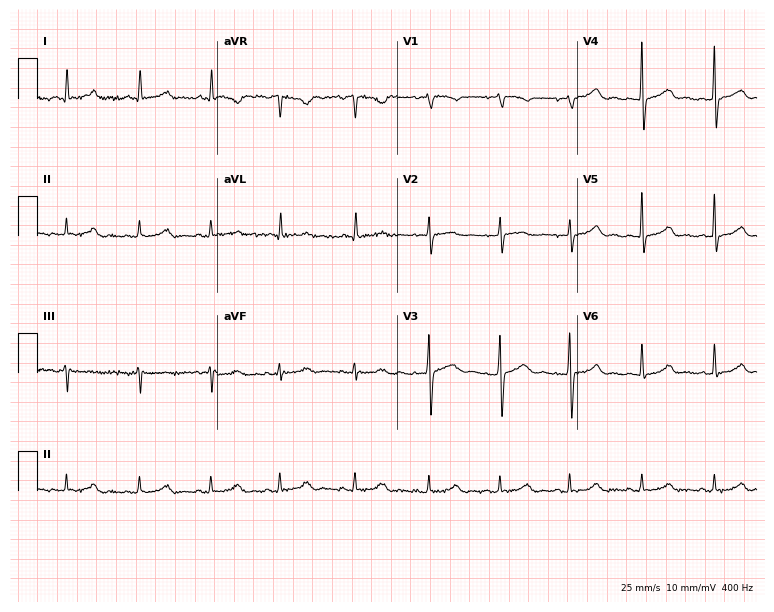
12-lead ECG from a female, 46 years old (7.3-second recording at 400 Hz). Recorded interpretation: within normal limits.